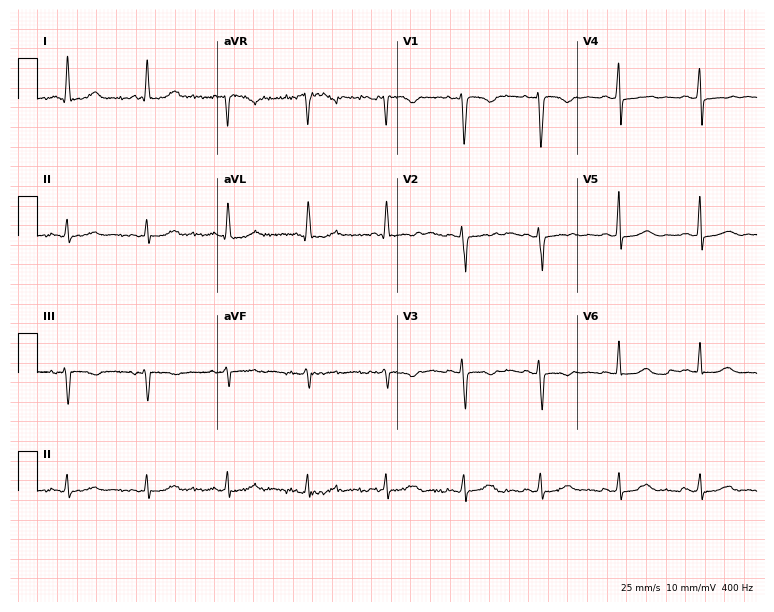
Electrocardiogram (7.3-second recording at 400 Hz), a woman, 48 years old. Of the six screened findings (first-degree AV block, right bundle branch block (RBBB), left bundle branch block (LBBB), sinus bradycardia, atrial fibrillation (AF), sinus tachycardia), none is recorded.